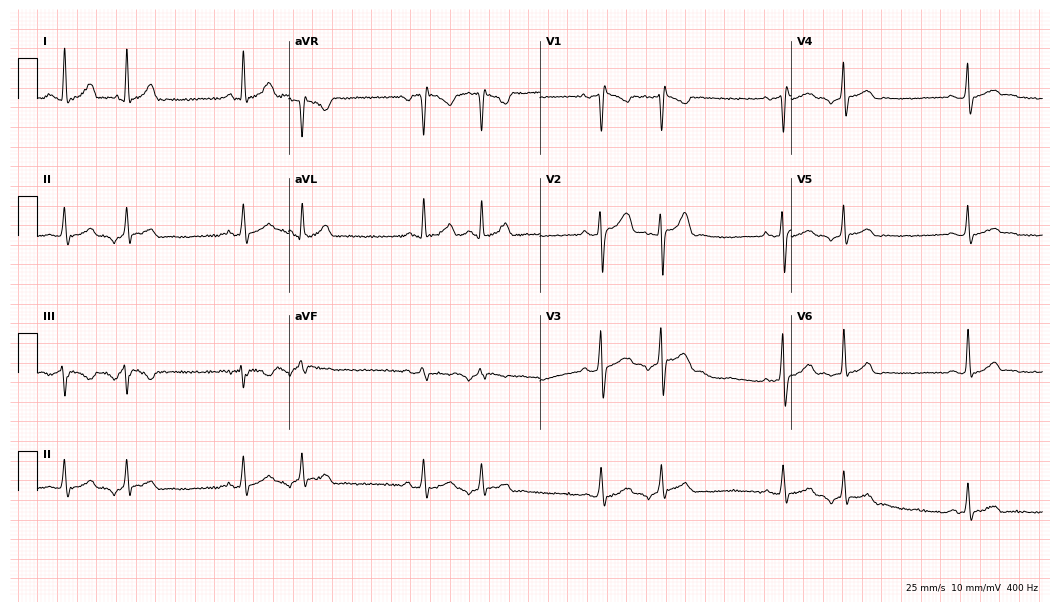
Standard 12-lead ECG recorded from a 39-year-old man (10.2-second recording at 400 Hz). None of these six findings is recorded: first-degree AV block, right bundle branch block, left bundle branch block, sinus bradycardia, atrial fibrillation, sinus tachycardia. Findings outside these six are not listed.